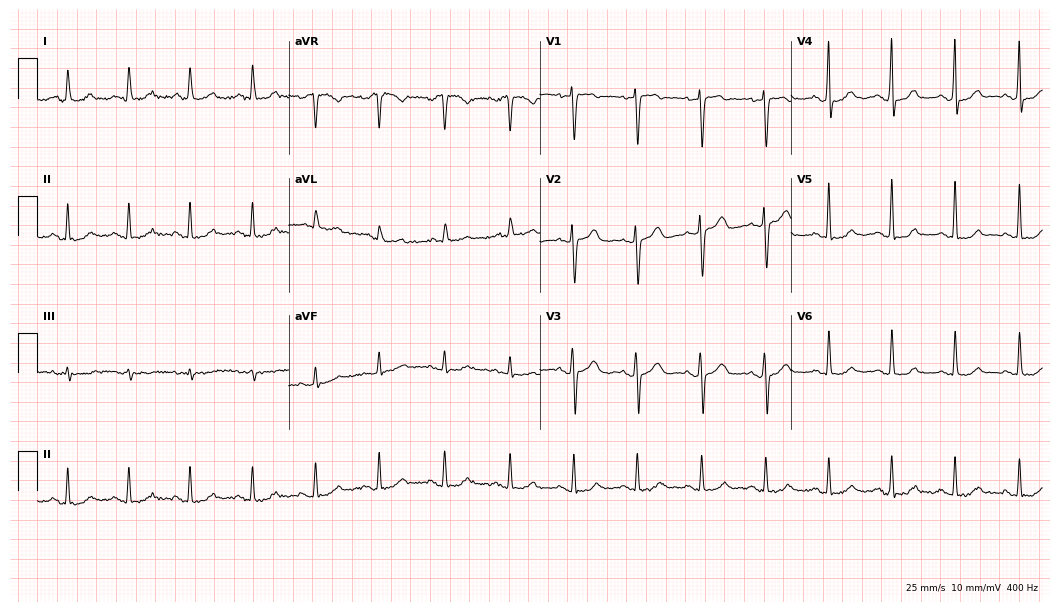
Resting 12-lead electrocardiogram (10.2-second recording at 400 Hz). Patient: a female, 48 years old. Read as a normal ECG.